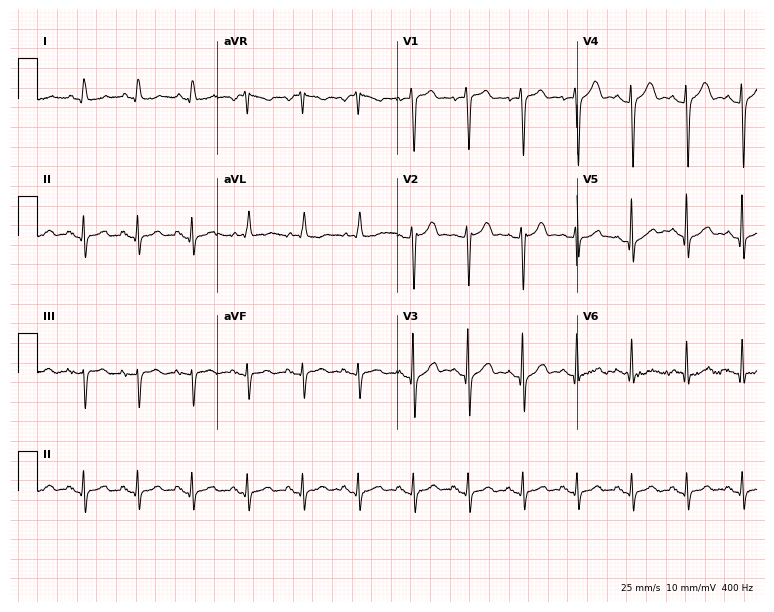
12-lead ECG from a female, 74 years old (7.3-second recording at 400 Hz). Shows sinus tachycardia (a sinus rate of 100 beats per minute or more).